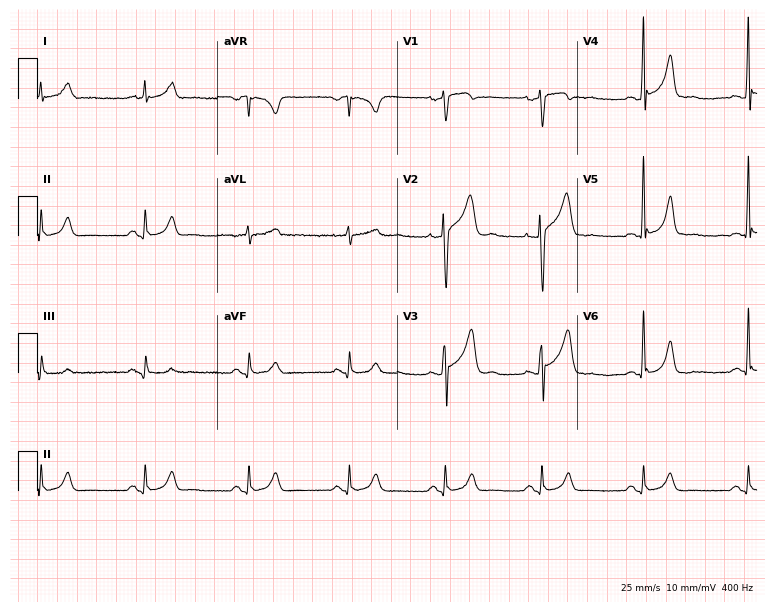
Standard 12-lead ECG recorded from a 40-year-old man (7.3-second recording at 400 Hz). None of these six findings is recorded: first-degree AV block, right bundle branch block (RBBB), left bundle branch block (LBBB), sinus bradycardia, atrial fibrillation (AF), sinus tachycardia. Other findings, if any, are not listed.